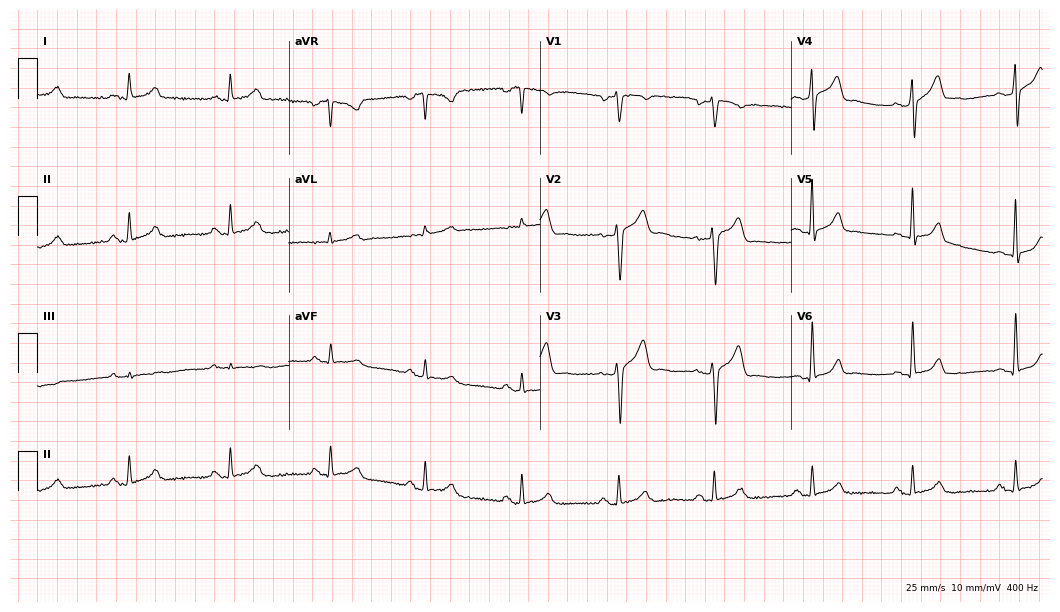
12-lead ECG (10.2-second recording at 400 Hz) from a man, 33 years old. Screened for six findings — first-degree AV block, right bundle branch block, left bundle branch block, sinus bradycardia, atrial fibrillation, sinus tachycardia — none is recorded. Findings outside these six are not listed.